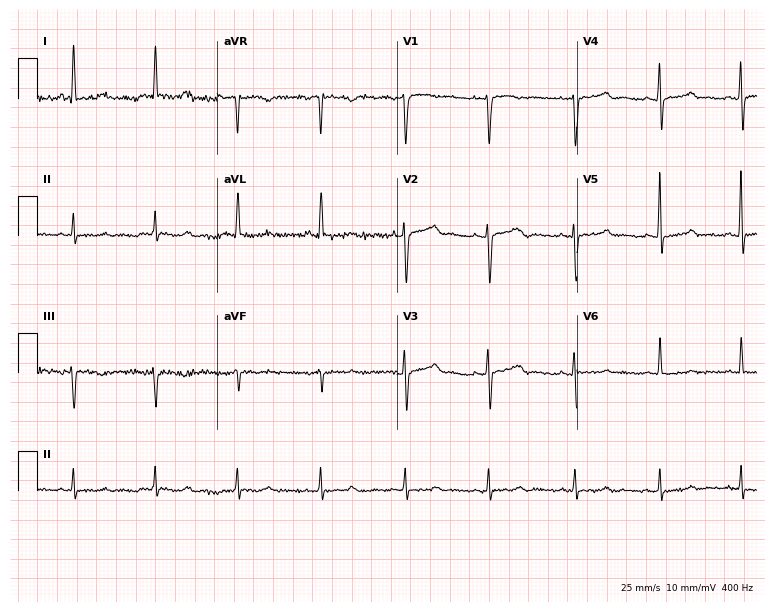
ECG — a 47-year-old woman. Screened for six findings — first-degree AV block, right bundle branch block, left bundle branch block, sinus bradycardia, atrial fibrillation, sinus tachycardia — none is recorded. Other findings, if any, are not listed.